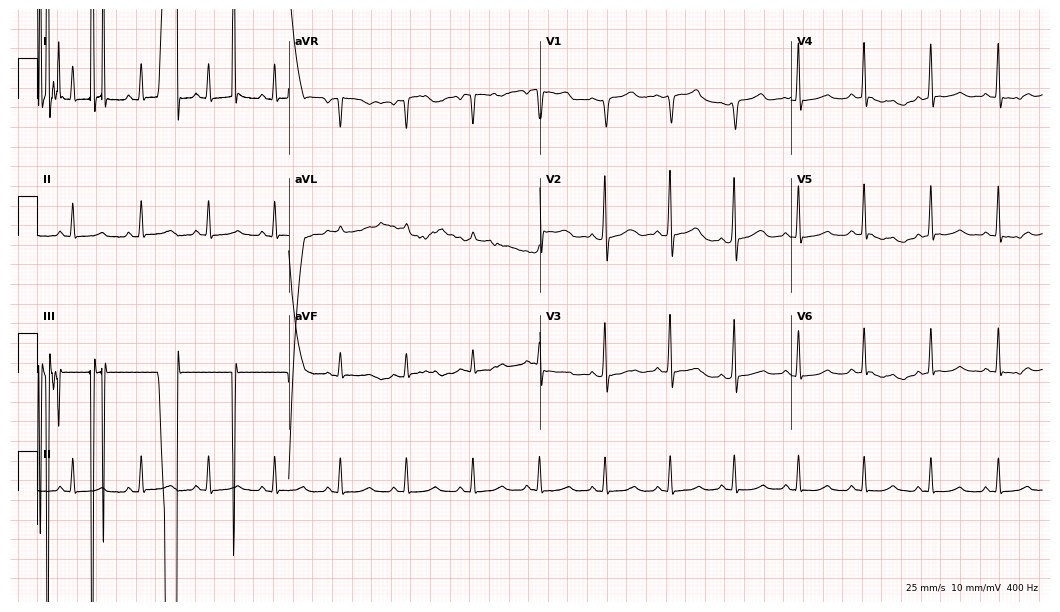
ECG (10.2-second recording at 400 Hz) — a female patient, 59 years old. Screened for six findings — first-degree AV block, right bundle branch block (RBBB), left bundle branch block (LBBB), sinus bradycardia, atrial fibrillation (AF), sinus tachycardia — none is recorded.